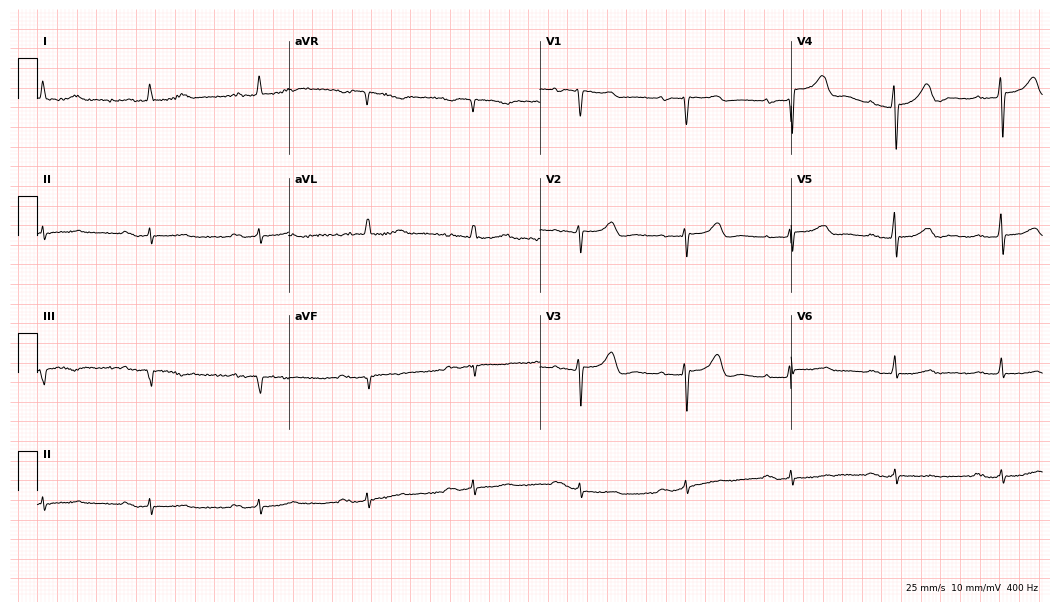
ECG (10.2-second recording at 400 Hz) — a female, 73 years old. Findings include first-degree AV block.